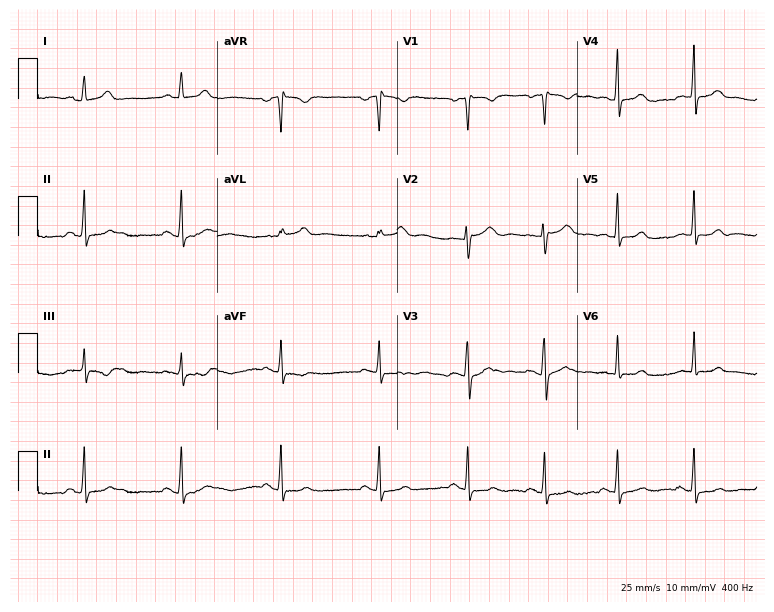
12-lead ECG from a female, 21 years old. Recorded interpretation: within normal limits.